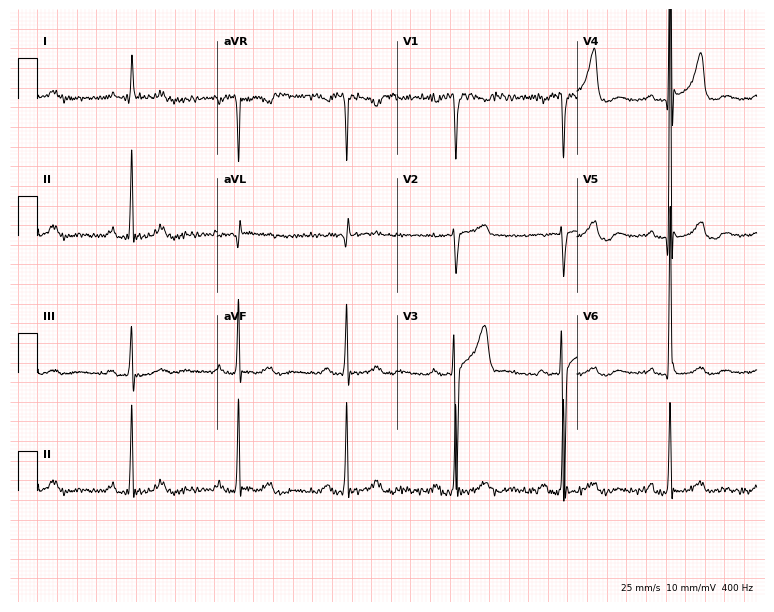
Electrocardiogram, a male, 57 years old. Of the six screened findings (first-degree AV block, right bundle branch block, left bundle branch block, sinus bradycardia, atrial fibrillation, sinus tachycardia), none is recorded.